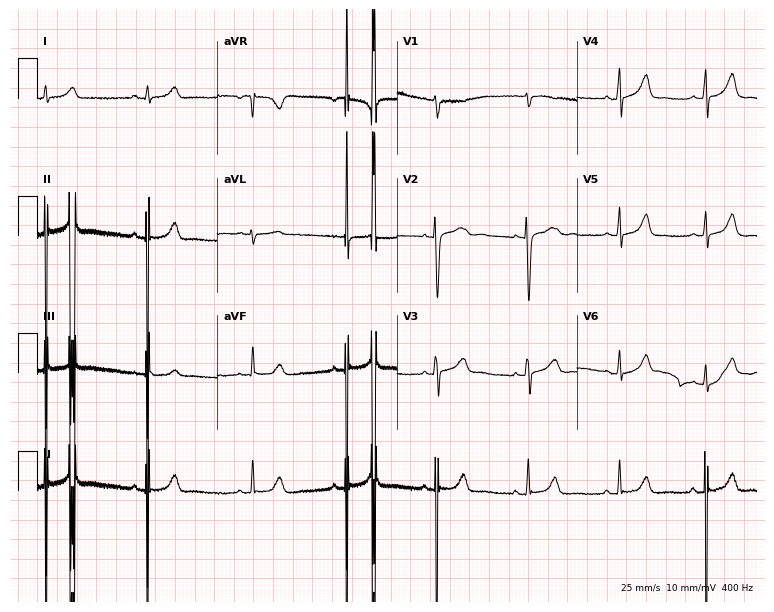
Electrocardiogram (7.3-second recording at 400 Hz), a female, 18 years old. Of the six screened findings (first-degree AV block, right bundle branch block, left bundle branch block, sinus bradycardia, atrial fibrillation, sinus tachycardia), none is recorded. Findings outside these six are not listed.